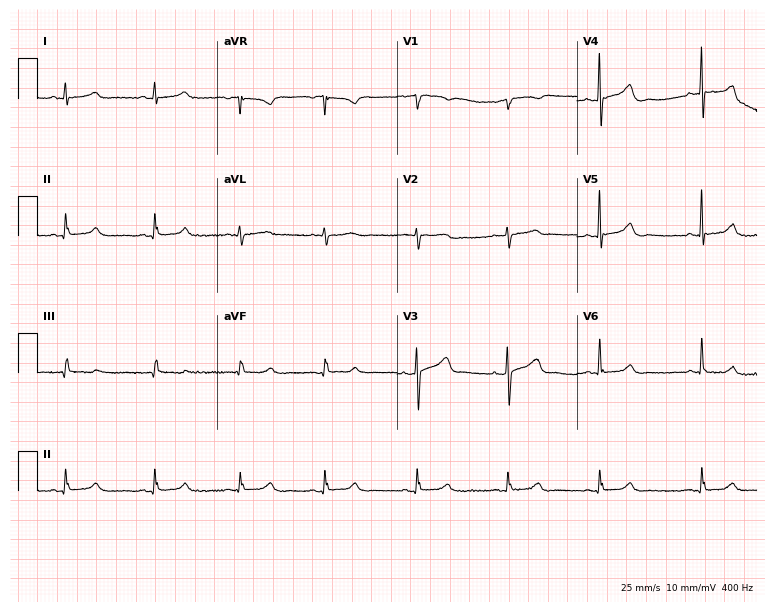
Resting 12-lead electrocardiogram. Patient: a male, 68 years old. None of these six findings is recorded: first-degree AV block, right bundle branch block (RBBB), left bundle branch block (LBBB), sinus bradycardia, atrial fibrillation (AF), sinus tachycardia. Findings outside these six are not listed.